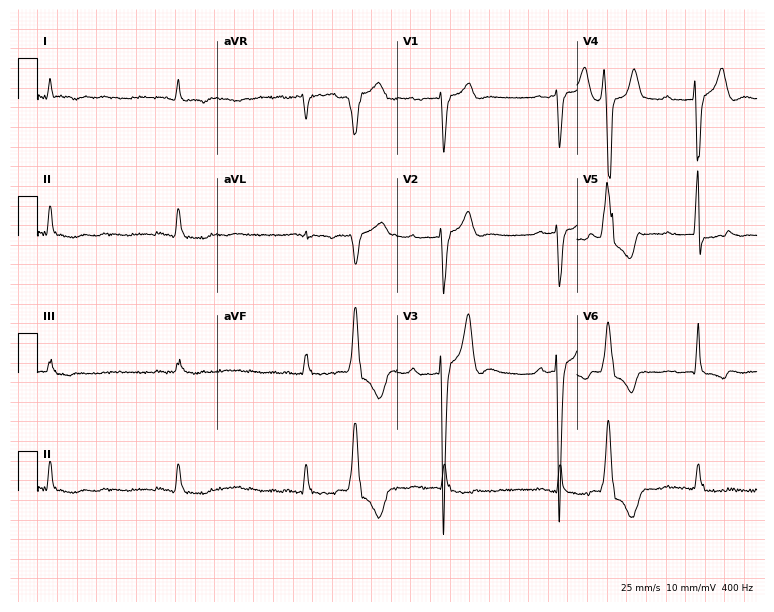
Resting 12-lead electrocardiogram (7.3-second recording at 400 Hz). Patient: a 68-year-old male. The tracing shows first-degree AV block, sinus bradycardia (a sinus rate of 50 beats per minute or less).